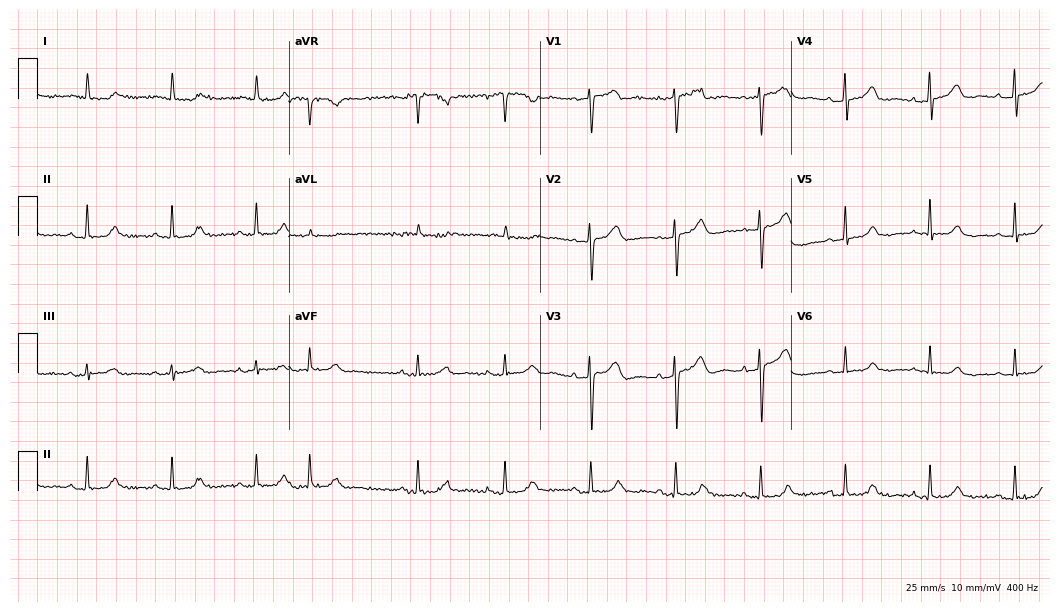
Resting 12-lead electrocardiogram. Patient: an 83-year-old female. Read as a normal ECG.